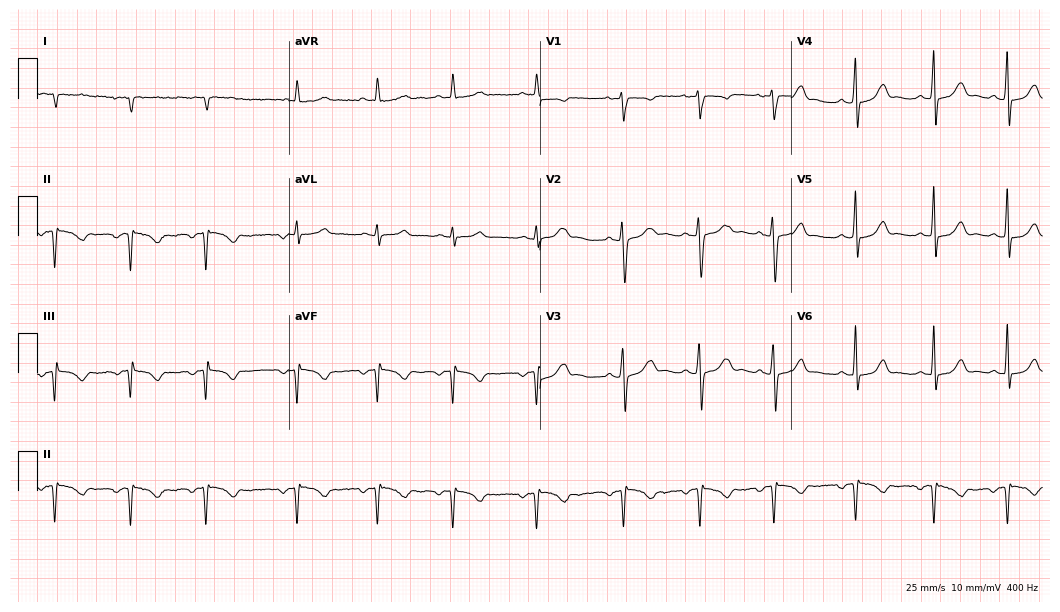
Standard 12-lead ECG recorded from a 19-year-old female patient. None of these six findings is recorded: first-degree AV block, right bundle branch block (RBBB), left bundle branch block (LBBB), sinus bradycardia, atrial fibrillation (AF), sinus tachycardia. Other findings, if any, are not listed.